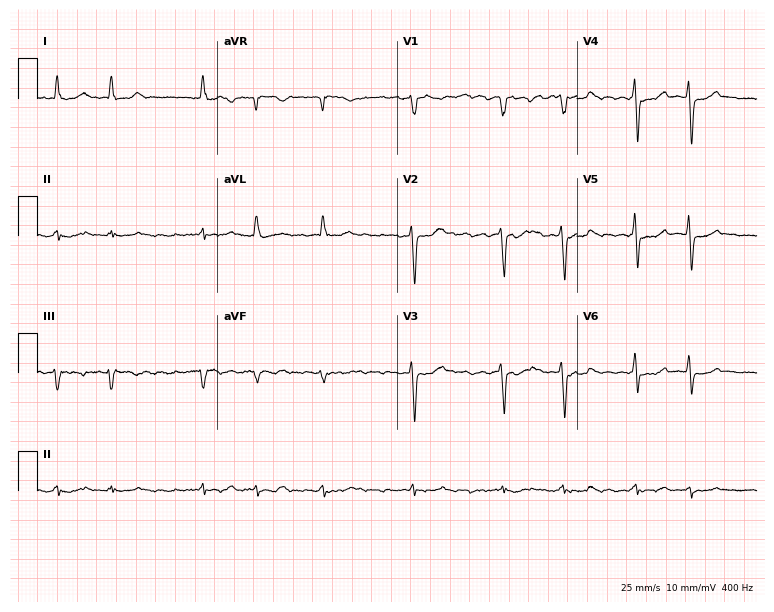
12-lead ECG from a 60-year-old male patient. Shows atrial fibrillation (AF).